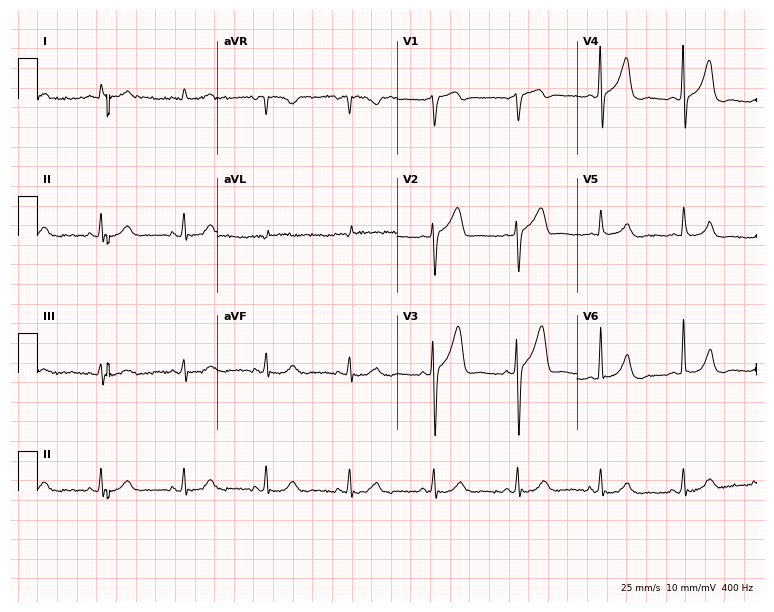
ECG (7.3-second recording at 400 Hz) — a 66-year-old man. Screened for six findings — first-degree AV block, right bundle branch block (RBBB), left bundle branch block (LBBB), sinus bradycardia, atrial fibrillation (AF), sinus tachycardia — none is recorded.